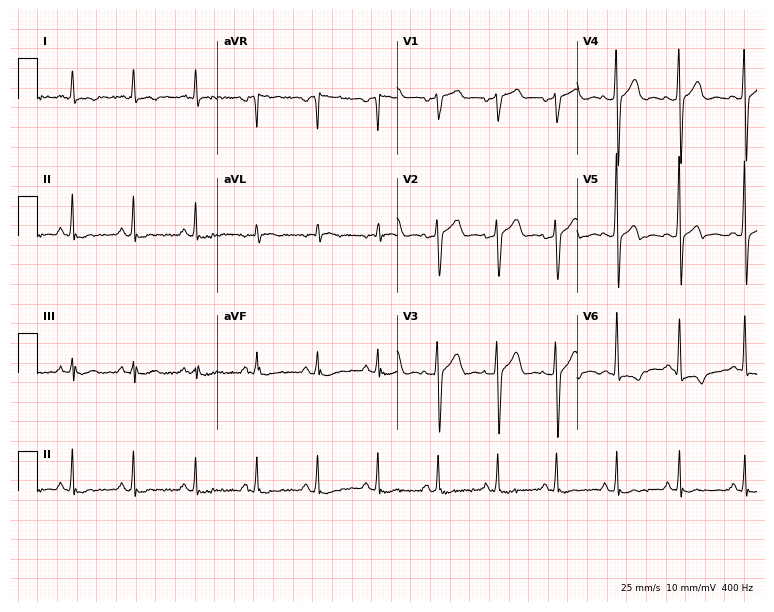
ECG — a male, 65 years old. Screened for six findings — first-degree AV block, right bundle branch block, left bundle branch block, sinus bradycardia, atrial fibrillation, sinus tachycardia — none is recorded. Only these six findings were labelled.